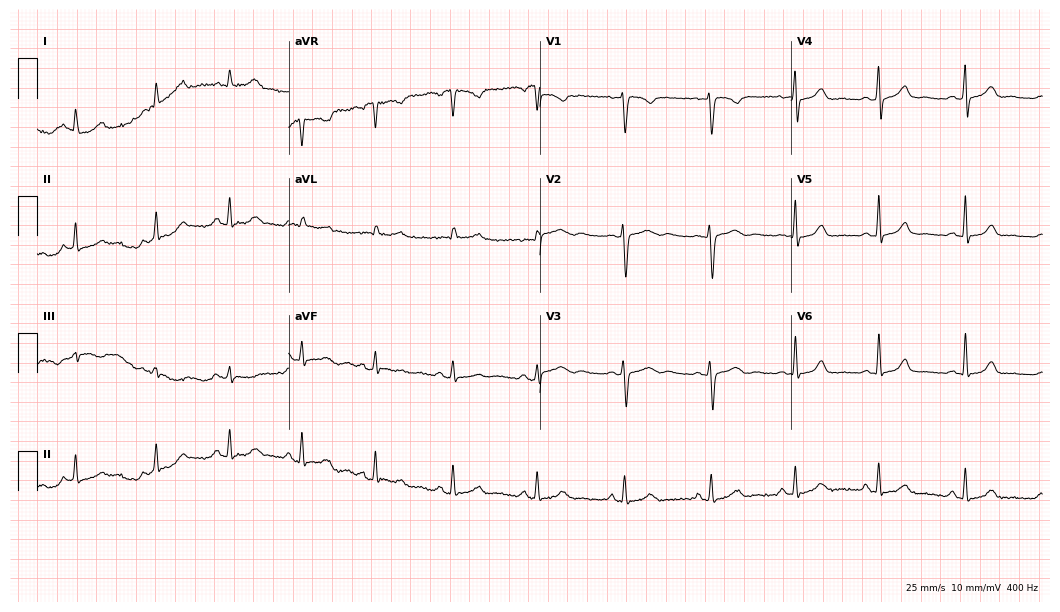
Electrocardiogram (10.2-second recording at 400 Hz), a 32-year-old woman. Of the six screened findings (first-degree AV block, right bundle branch block, left bundle branch block, sinus bradycardia, atrial fibrillation, sinus tachycardia), none is recorded. Other findings, if any, are not listed.